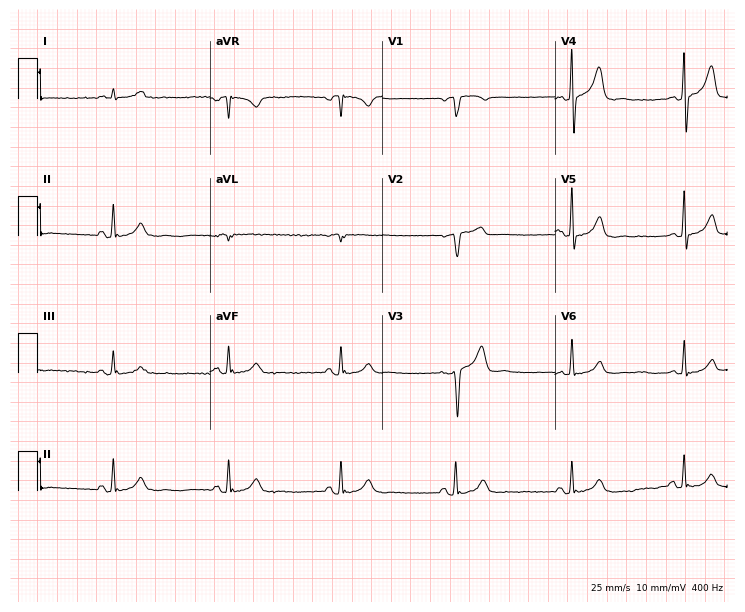
12-lead ECG from a 77-year-old man. No first-degree AV block, right bundle branch block (RBBB), left bundle branch block (LBBB), sinus bradycardia, atrial fibrillation (AF) or sinus tachycardia recorded for this tracing. Other findings, if any, are not listed.